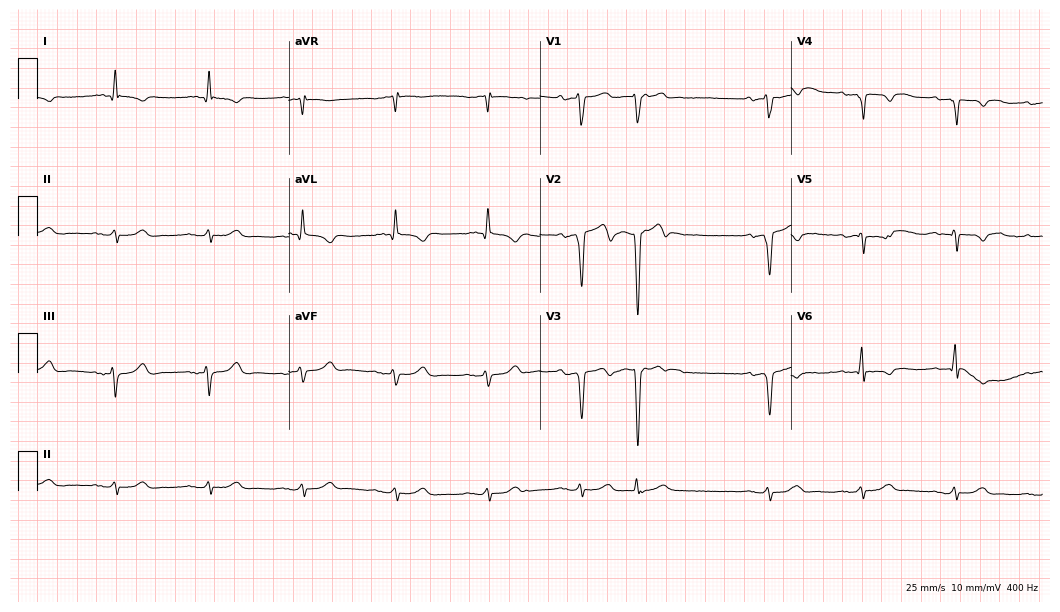
Resting 12-lead electrocardiogram. Patient: a woman, 81 years old. None of these six findings is recorded: first-degree AV block, right bundle branch block, left bundle branch block, sinus bradycardia, atrial fibrillation, sinus tachycardia.